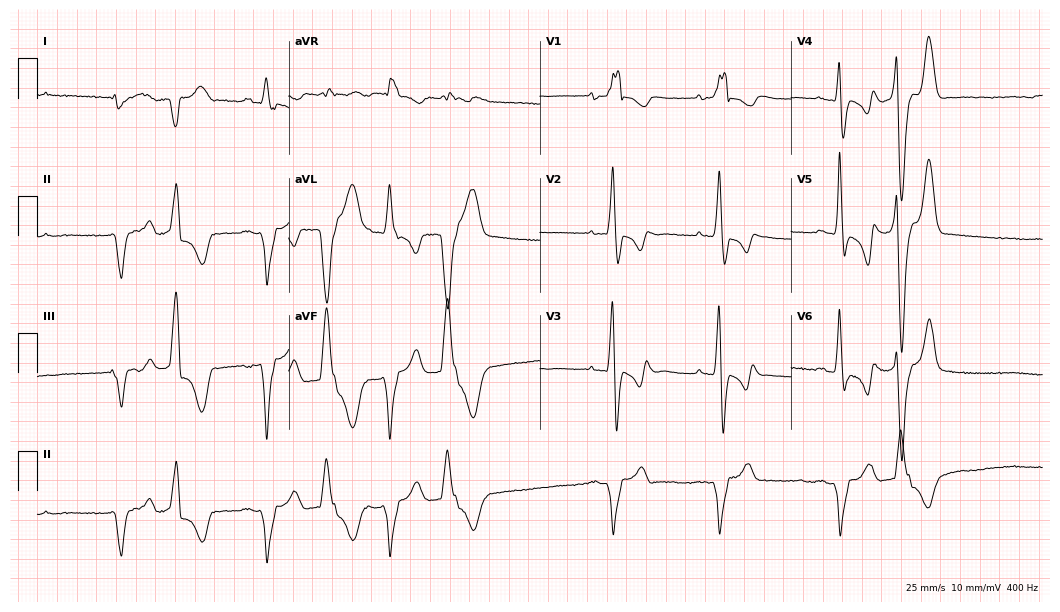
Resting 12-lead electrocardiogram (10.2-second recording at 400 Hz). Patient: a 53-year-old male. The tracing shows right bundle branch block.